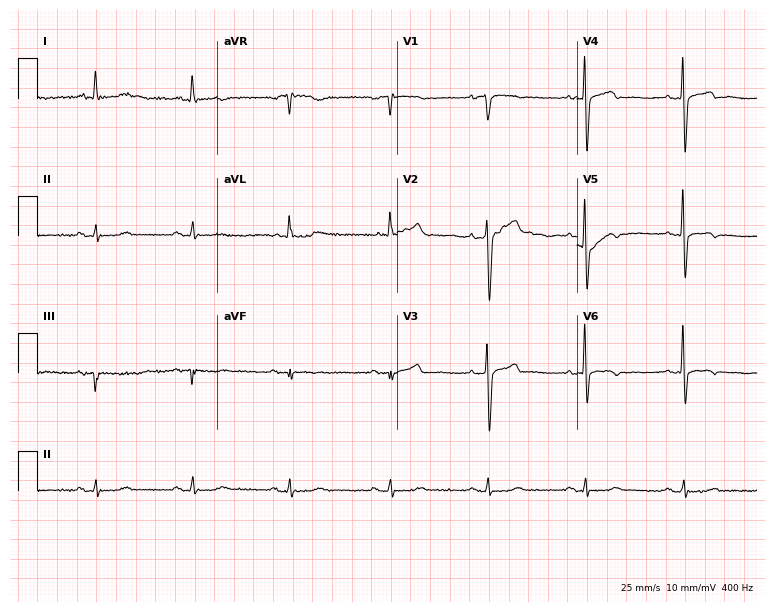
Electrocardiogram, a 70-year-old male patient. Of the six screened findings (first-degree AV block, right bundle branch block, left bundle branch block, sinus bradycardia, atrial fibrillation, sinus tachycardia), none is recorded.